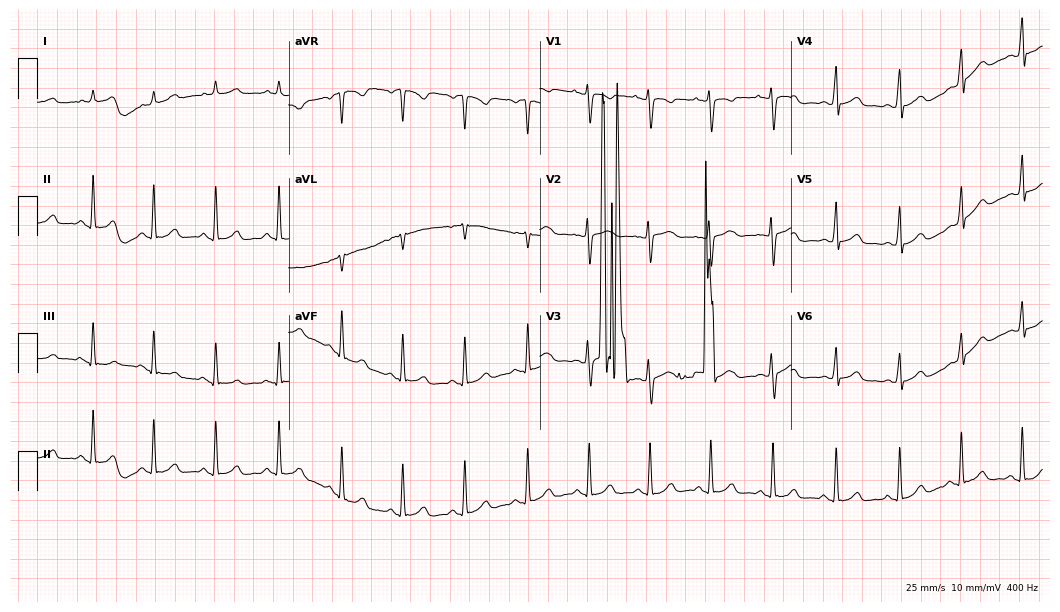
Electrocardiogram, a female, 18 years old. Of the six screened findings (first-degree AV block, right bundle branch block (RBBB), left bundle branch block (LBBB), sinus bradycardia, atrial fibrillation (AF), sinus tachycardia), none is recorded. Only these six findings were labelled.